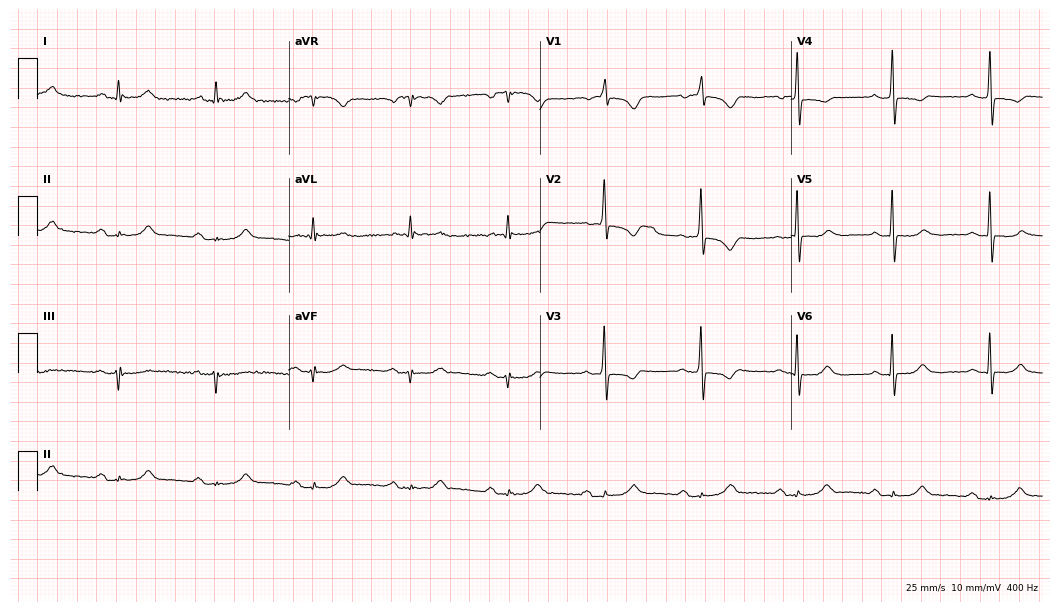
Resting 12-lead electrocardiogram (10.2-second recording at 400 Hz). Patient: an 85-year-old male. None of these six findings is recorded: first-degree AV block, right bundle branch block (RBBB), left bundle branch block (LBBB), sinus bradycardia, atrial fibrillation (AF), sinus tachycardia. Other findings, if any, are not listed.